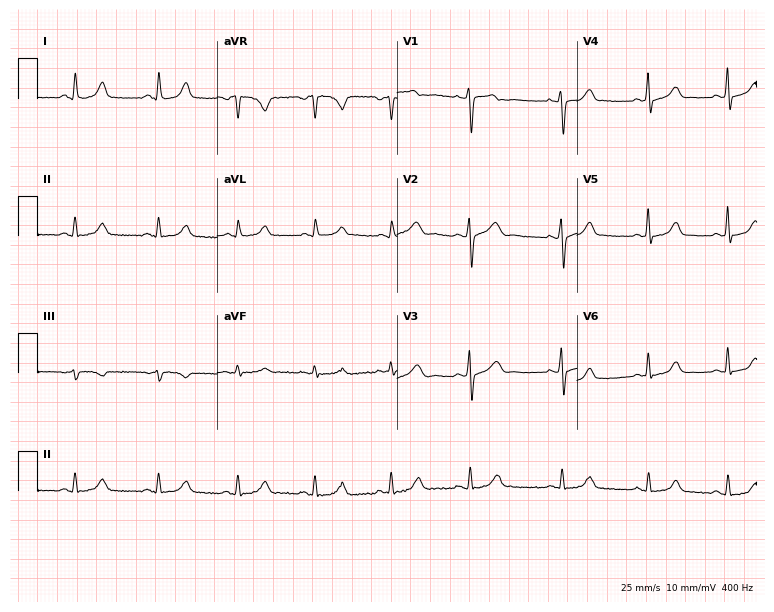
Resting 12-lead electrocardiogram (7.3-second recording at 400 Hz). Patient: a 34-year-old female. None of these six findings is recorded: first-degree AV block, right bundle branch block, left bundle branch block, sinus bradycardia, atrial fibrillation, sinus tachycardia.